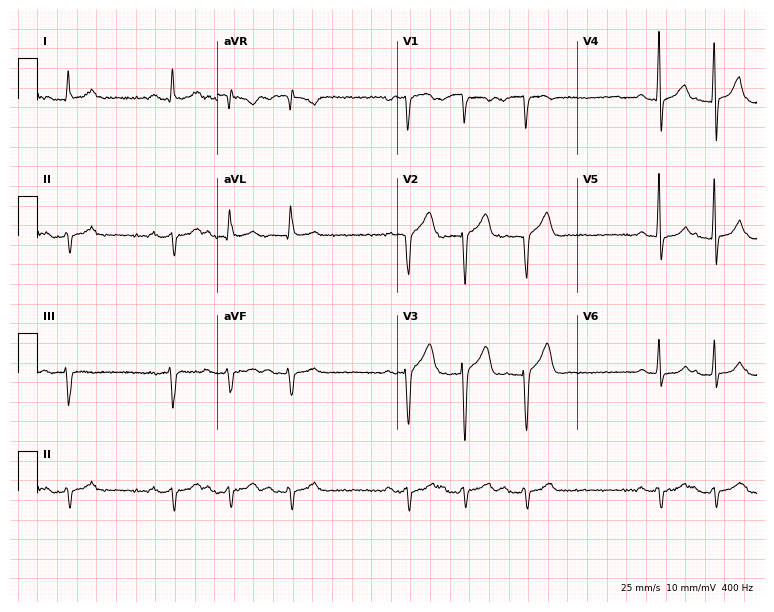
ECG — a 64-year-old man. Findings include first-degree AV block.